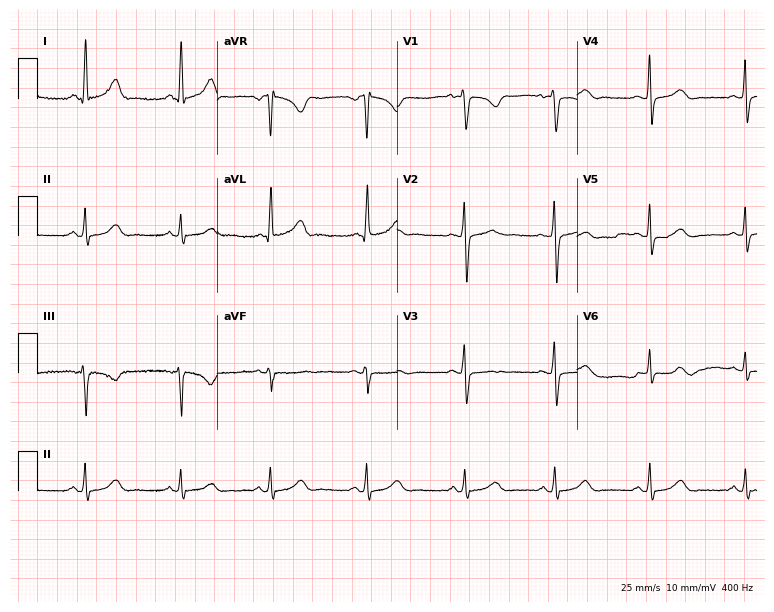
Electrocardiogram, a 49-year-old female. Overall reading on record: normal ECG.